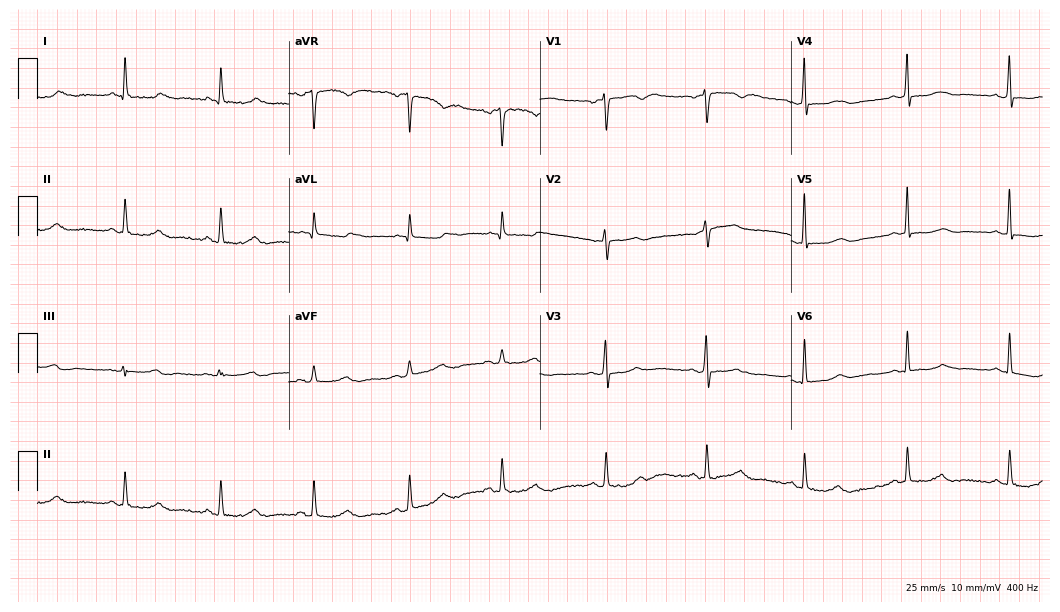
12-lead ECG from a woman, 58 years old (10.2-second recording at 400 Hz). Recorded interpretation: within normal limits.